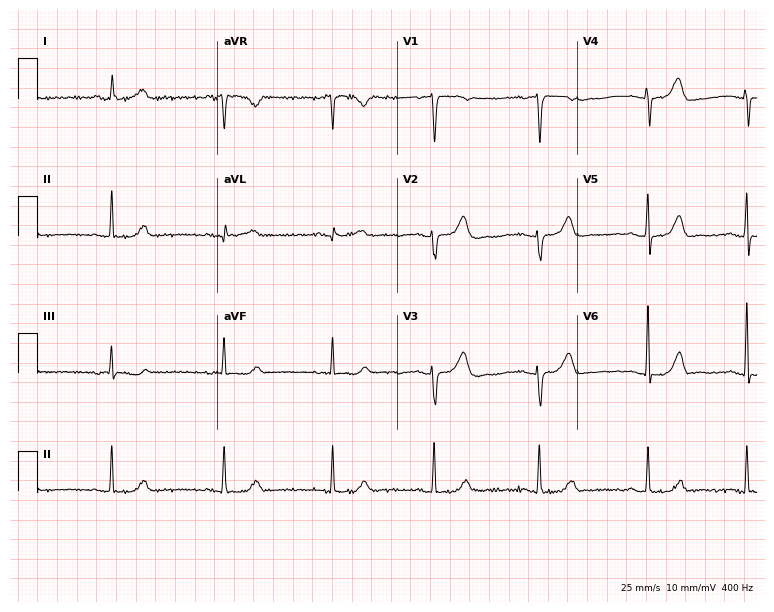
12-lead ECG from a 46-year-old female patient. Labelled as a normal ECG.